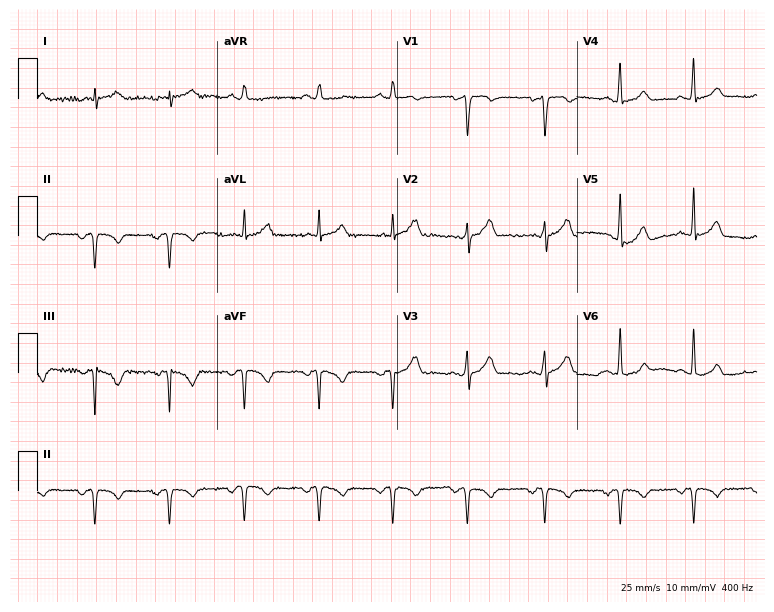
12-lead ECG from a 40-year-old female patient (7.3-second recording at 400 Hz). No first-degree AV block, right bundle branch block (RBBB), left bundle branch block (LBBB), sinus bradycardia, atrial fibrillation (AF) or sinus tachycardia recorded for this tracing. Only these six findings were labelled.